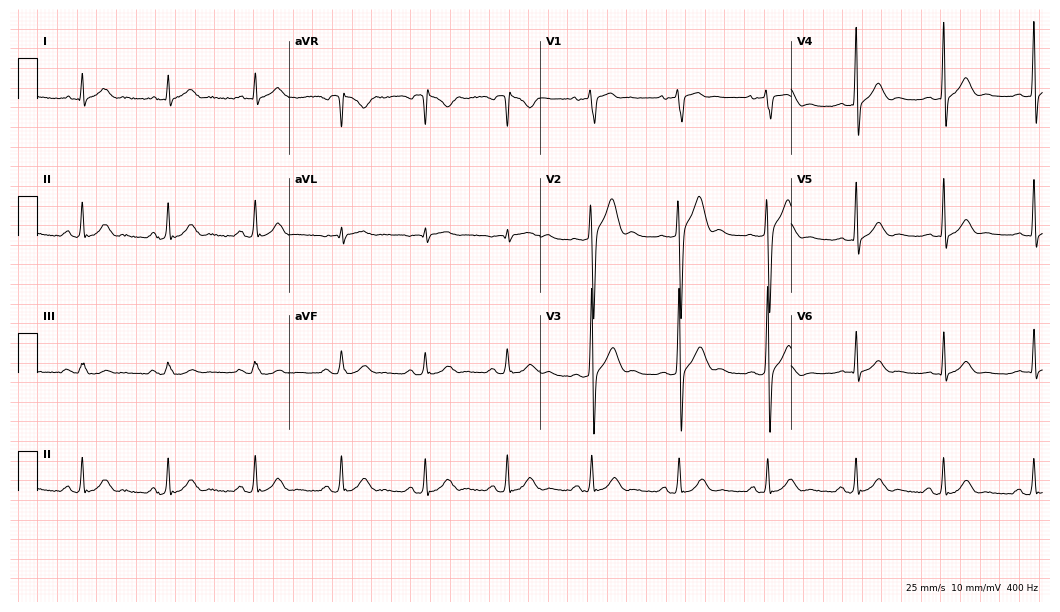
ECG — a 31-year-old man. Labelled as a normal ECG.